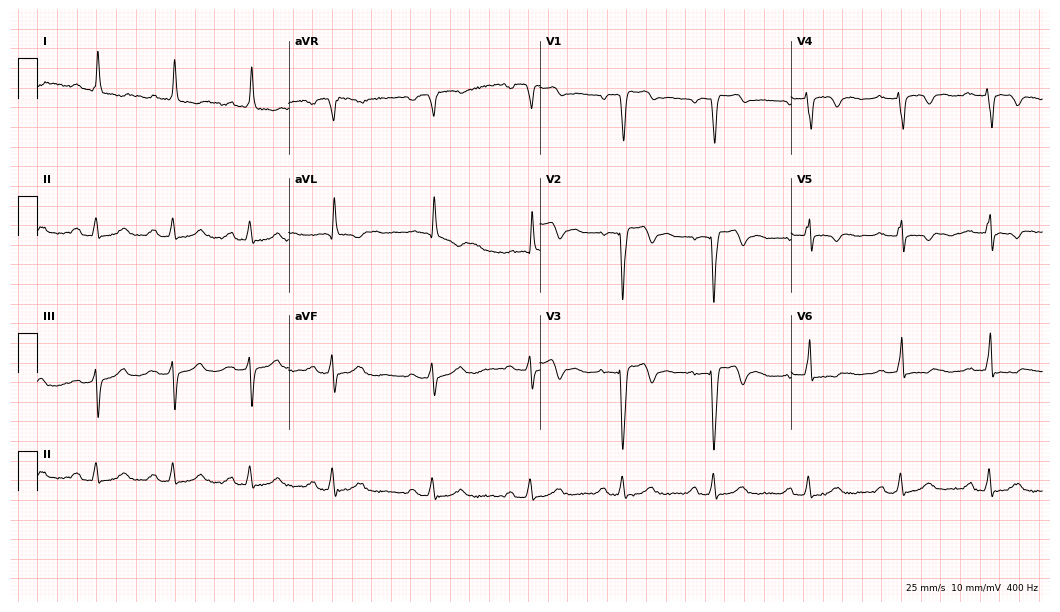
Resting 12-lead electrocardiogram (10.2-second recording at 400 Hz). Patient: a 70-year-old man. None of these six findings is recorded: first-degree AV block, right bundle branch block (RBBB), left bundle branch block (LBBB), sinus bradycardia, atrial fibrillation (AF), sinus tachycardia.